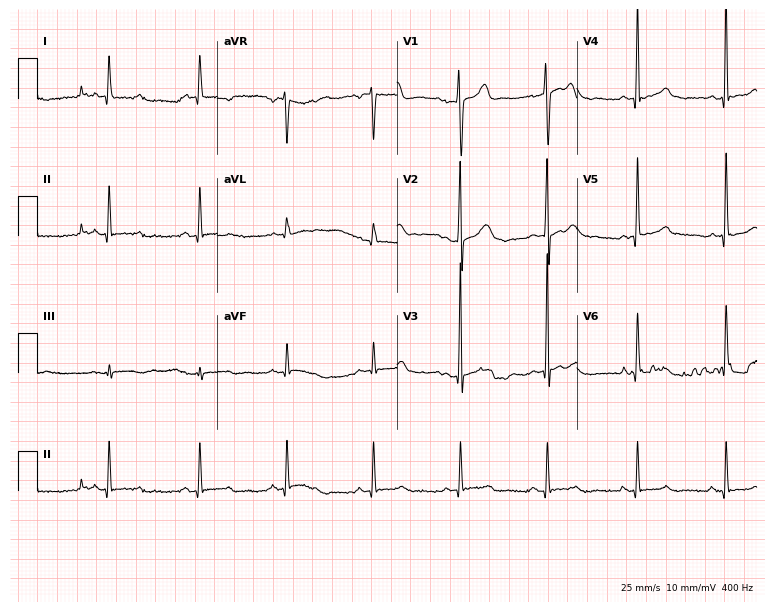
12-lead ECG from a male patient, 45 years old. Labelled as a normal ECG.